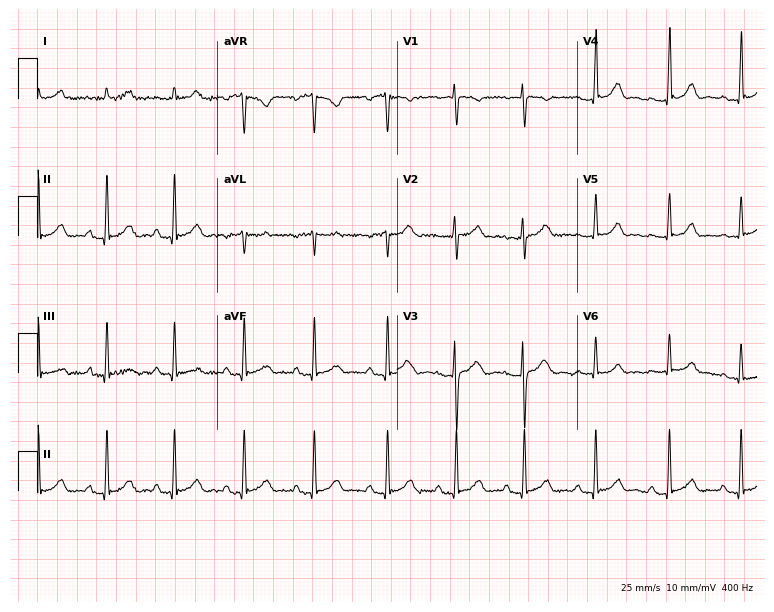
Standard 12-lead ECG recorded from a 23-year-old female (7.3-second recording at 400 Hz). None of these six findings is recorded: first-degree AV block, right bundle branch block, left bundle branch block, sinus bradycardia, atrial fibrillation, sinus tachycardia.